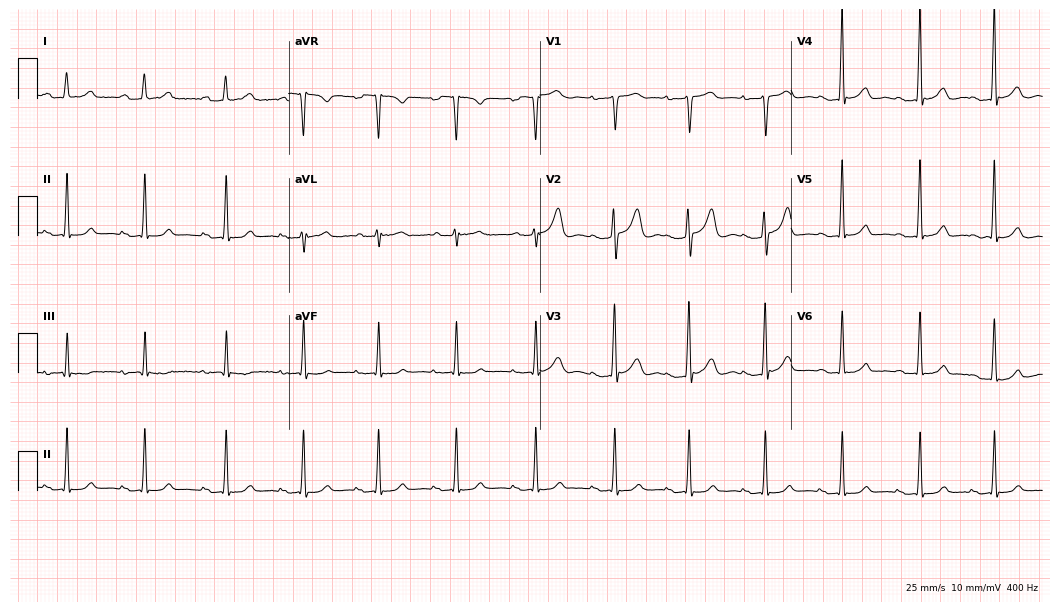
12-lead ECG from a 31-year-old female patient. Findings include first-degree AV block.